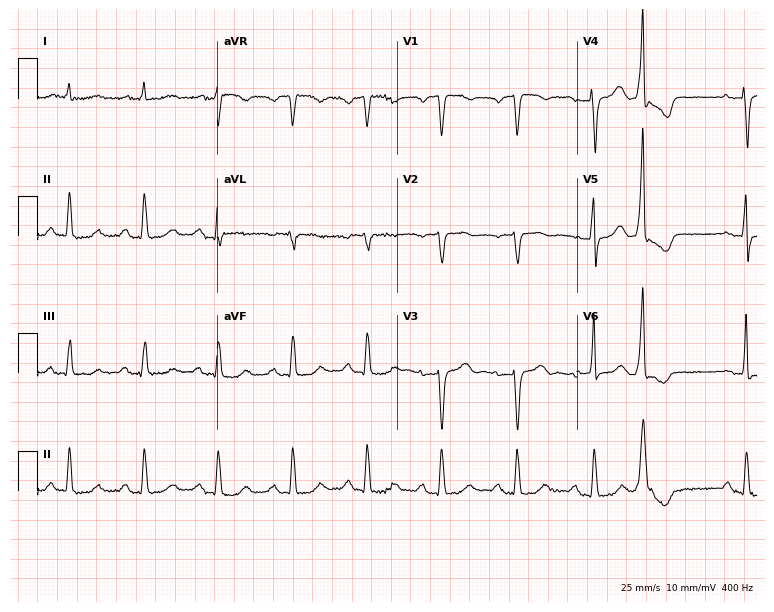
Standard 12-lead ECG recorded from a male patient, 78 years old (7.3-second recording at 400 Hz). The tracing shows first-degree AV block.